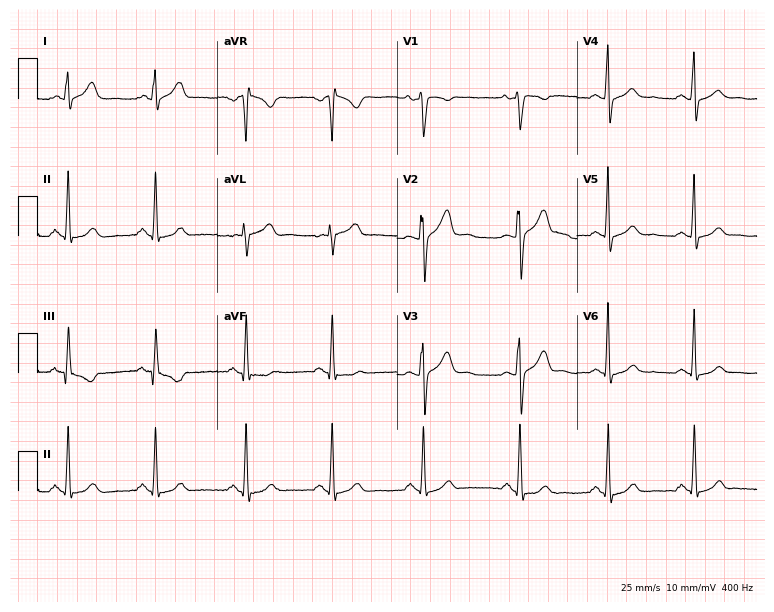
Standard 12-lead ECG recorded from a woman, 25 years old (7.3-second recording at 400 Hz). Read as a normal ECG.